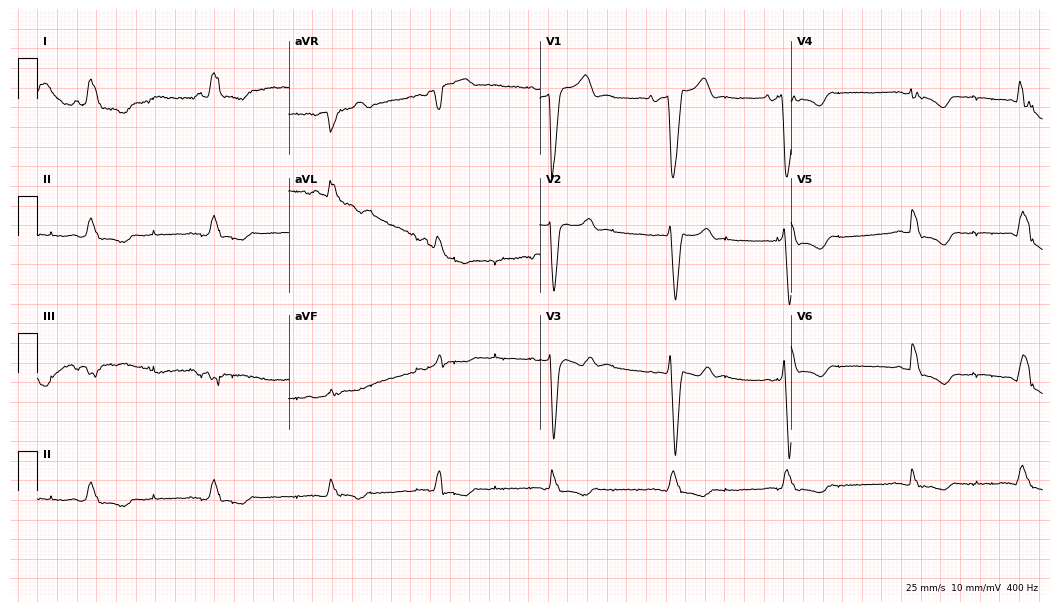
Standard 12-lead ECG recorded from a man, 81 years old (10.2-second recording at 400 Hz). The tracing shows left bundle branch block (LBBB).